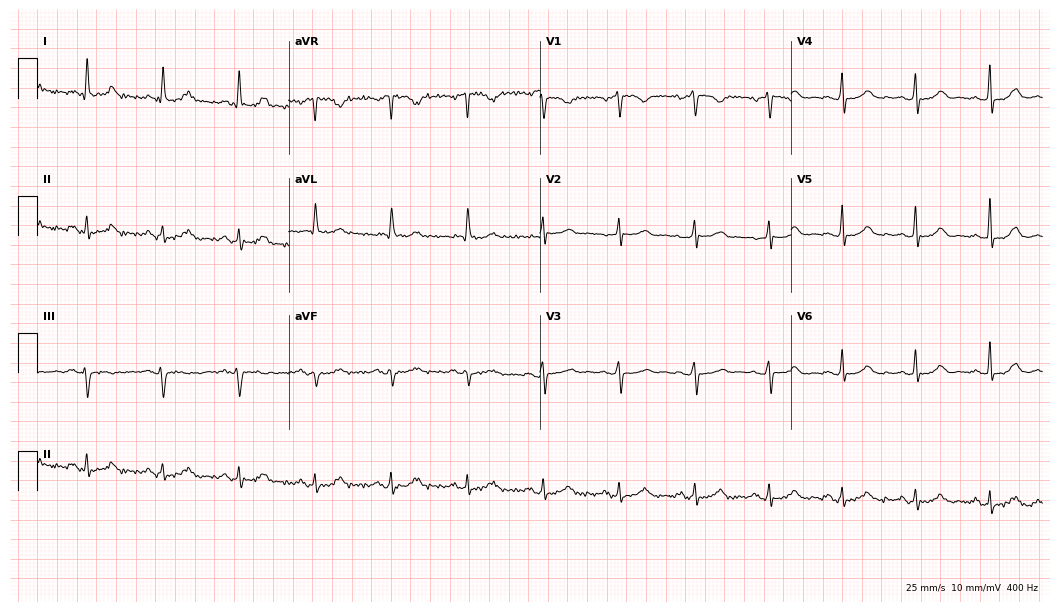
Electrocardiogram (10.2-second recording at 400 Hz), a 72-year-old woman. Overall reading on record: normal ECG.